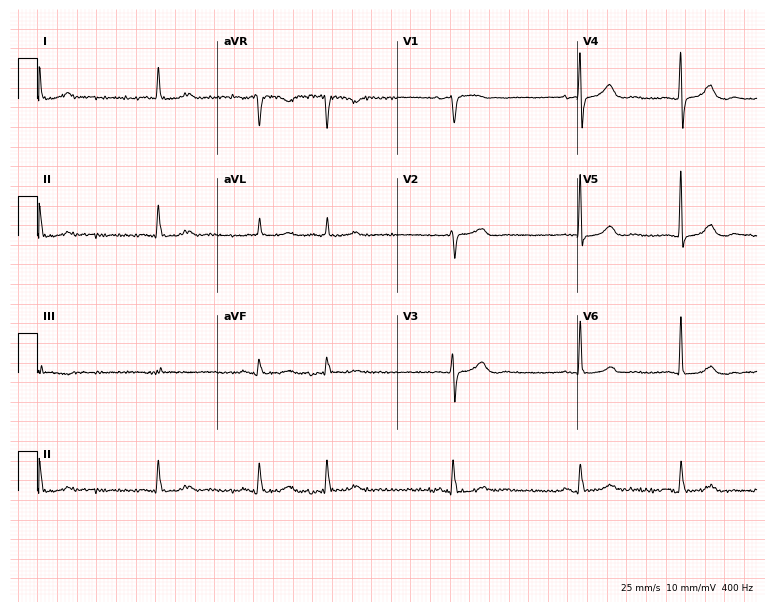
Standard 12-lead ECG recorded from a woman, 86 years old (7.3-second recording at 400 Hz). None of these six findings is recorded: first-degree AV block, right bundle branch block (RBBB), left bundle branch block (LBBB), sinus bradycardia, atrial fibrillation (AF), sinus tachycardia.